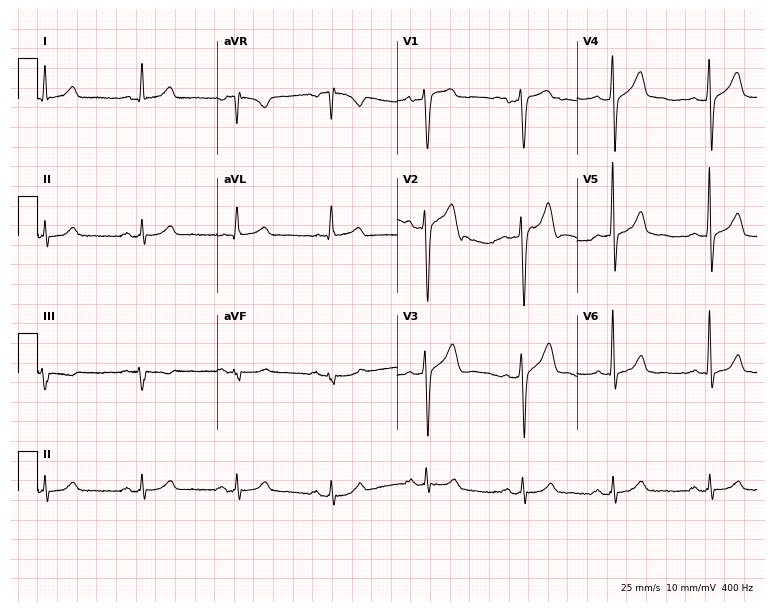
Standard 12-lead ECG recorded from a 56-year-old man (7.3-second recording at 400 Hz). None of these six findings is recorded: first-degree AV block, right bundle branch block (RBBB), left bundle branch block (LBBB), sinus bradycardia, atrial fibrillation (AF), sinus tachycardia. Other findings, if any, are not listed.